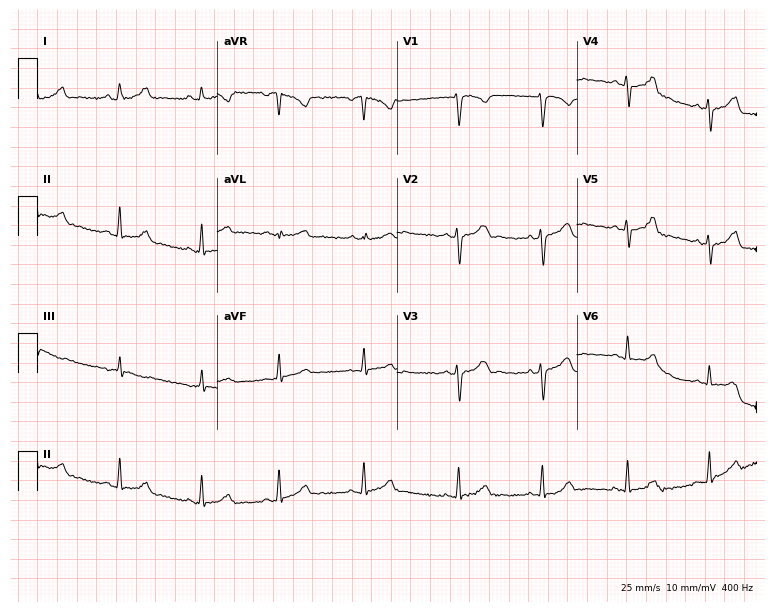
12-lead ECG (7.3-second recording at 400 Hz) from a female, 22 years old. Screened for six findings — first-degree AV block, right bundle branch block, left bundle branch block, sinus bradycardia, atrial fibrillation, sinus tachycardia — none is recorded.